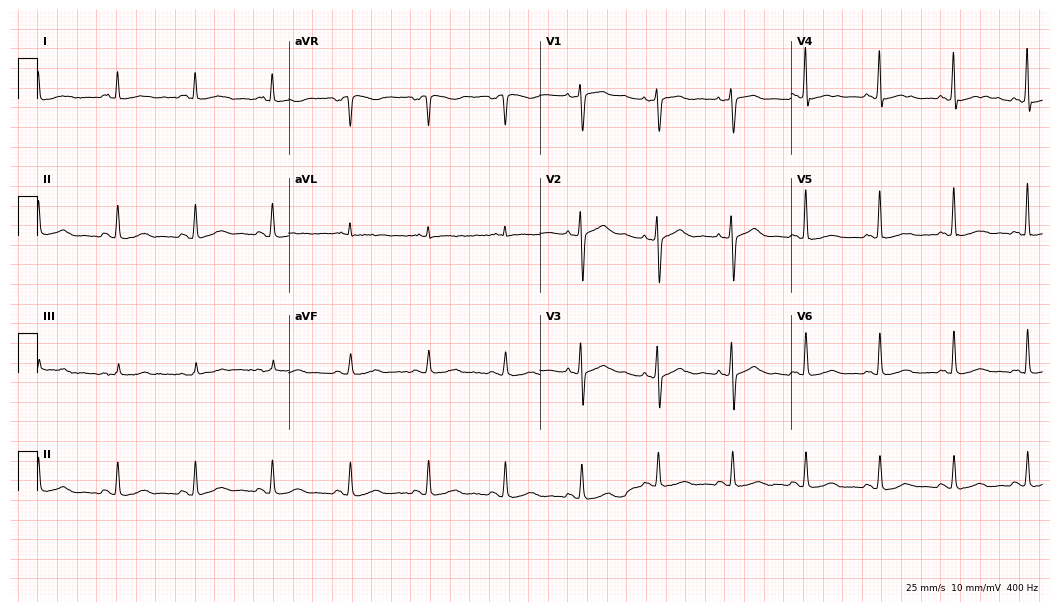
12-lead ECG from a 53-year-old woman. Screened for six findings — first-degree AV block, right bundle branch block, left bundle branch block, sinus bradycardia, atrial fibrillation, sinus tachycardia — none is recorded. Only these six findings were labelled.